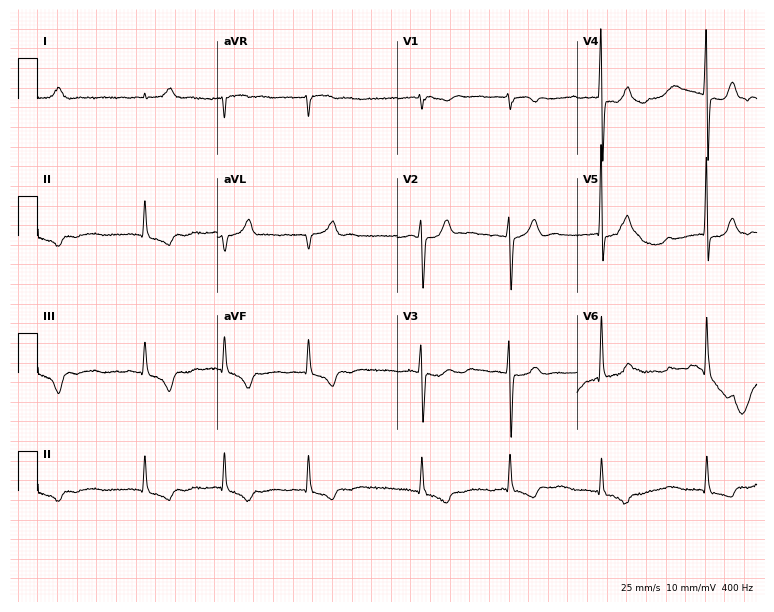
Resting 12-lead electrocardiogram. Patient: an 83-year-old woman. The tracing shows atrial fibrillation (AF).